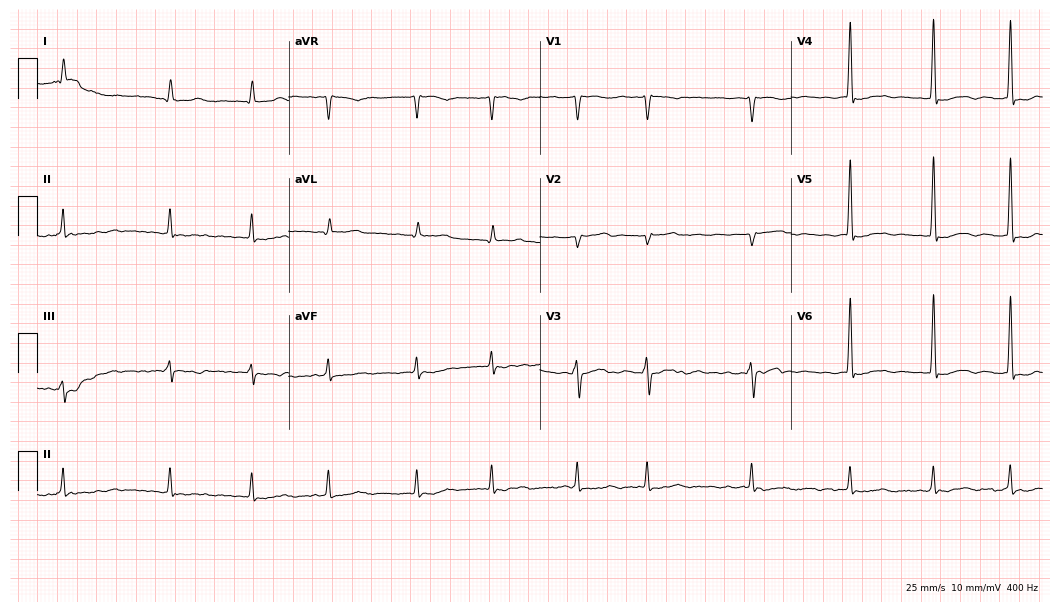
Electrocardiogram, an 80-year-old man. Interpretation includes atrial fibrillation (AF).